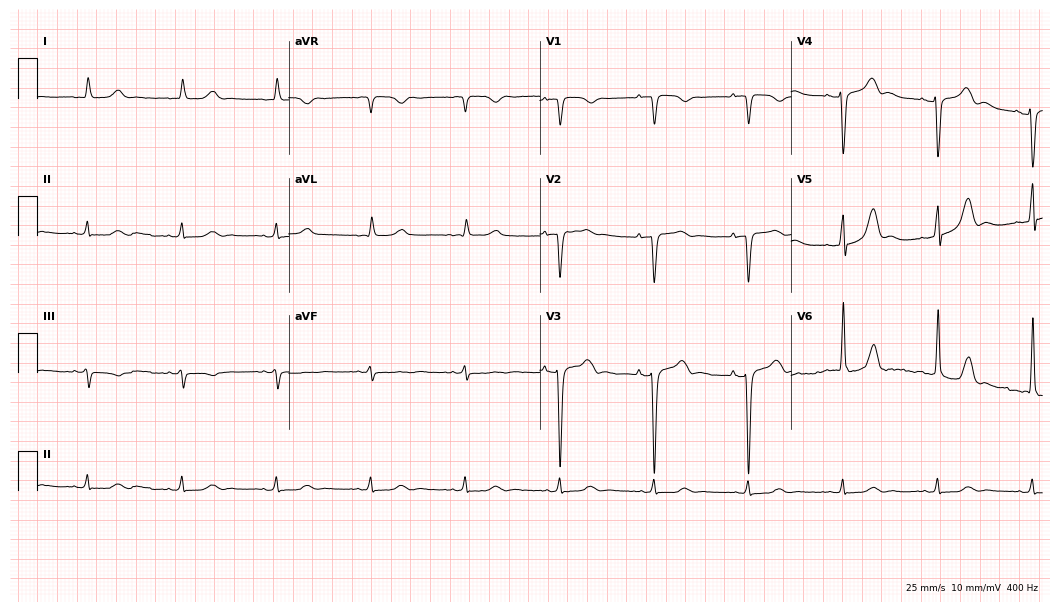
12-lead ECG from an 85-year-old male patient. No first-degree AV block, right bundle branch block (RBBB), left bundle branch block (LBBB), sinus bradycardia, atrial fibrillation (AF) or sinus tachycardia recorded for this tracing.